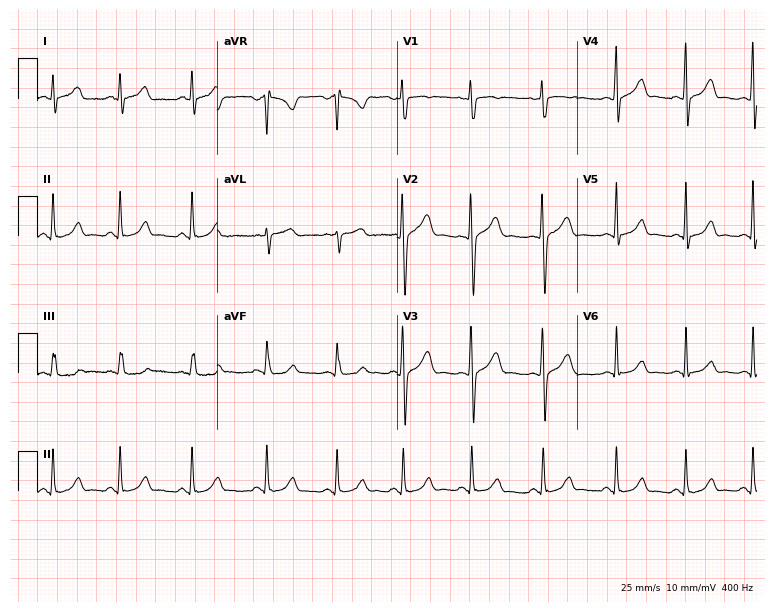
Electrocardiogram (7.3-second recording at 400 Hz), a 19-year-old female. Overall reading on record: normal ECG.